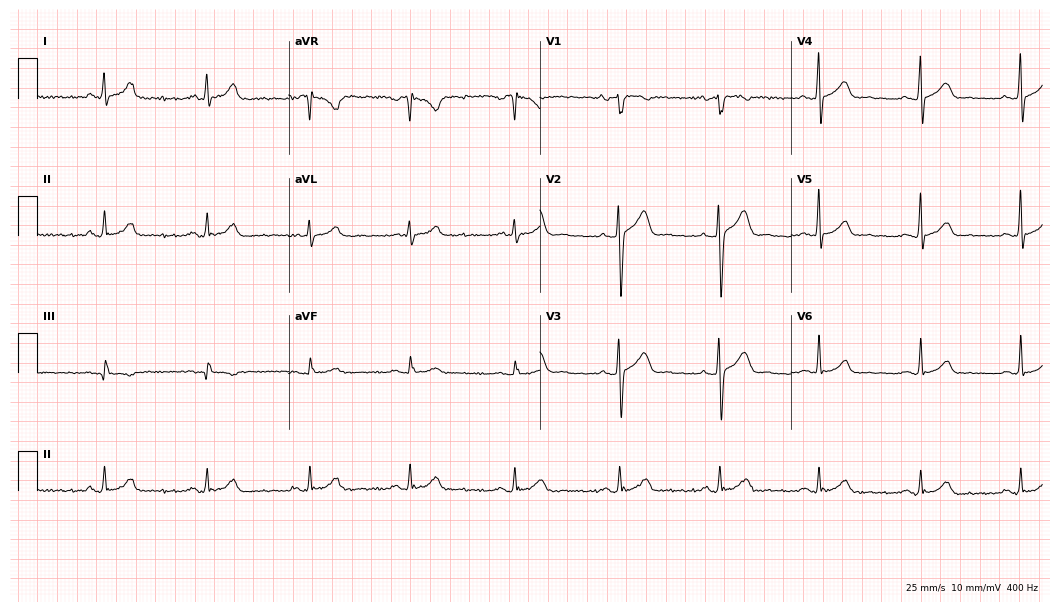
12-lead ECG from a 42-year-old male. Labelled as a normal ECG.